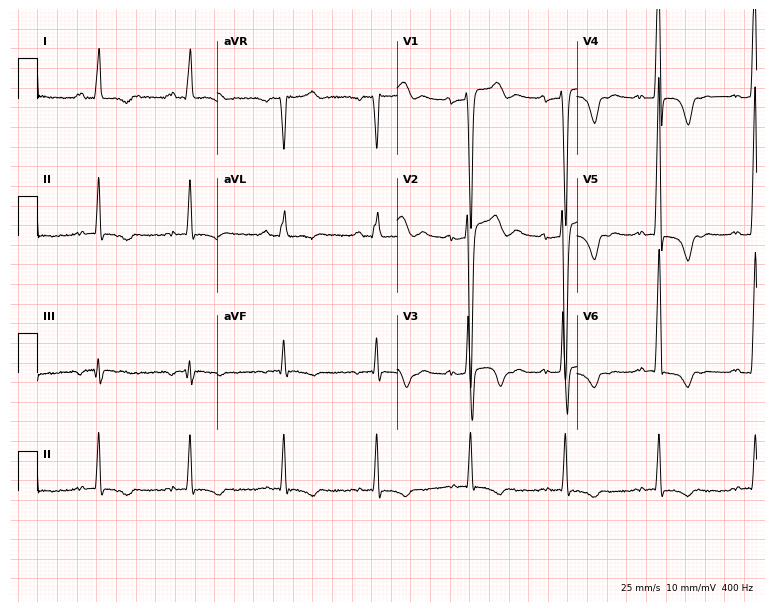
Electrocardiogram, a male patient, 41 years old. Of the six screened findings (first-degree AV block, right bundle branch block, left bundle branch block, sinus bradycardia, atrial fibrillation, sinus tachycardia), none is recorded. Other findings, if any, are not listed.